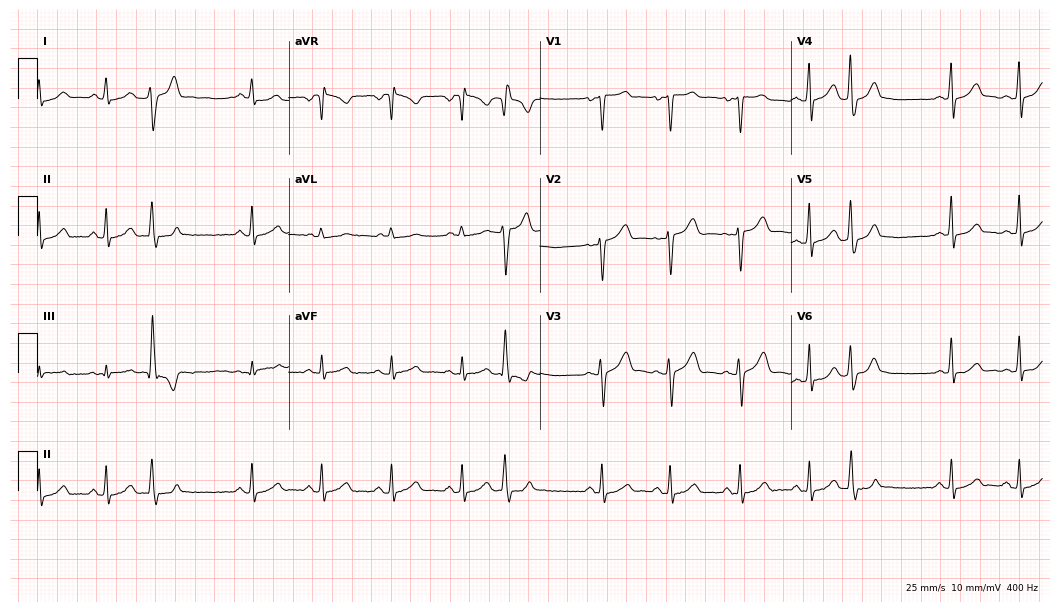
ECG (10.2-second recording at 400 Hz) — a 33-year-old female patient. Screened for six findings — first-degree AV block, right bundle branch block, left bundle branch block, sinus bradycardia, atrial fibrillation, sinus tachycardia — none is recorded.